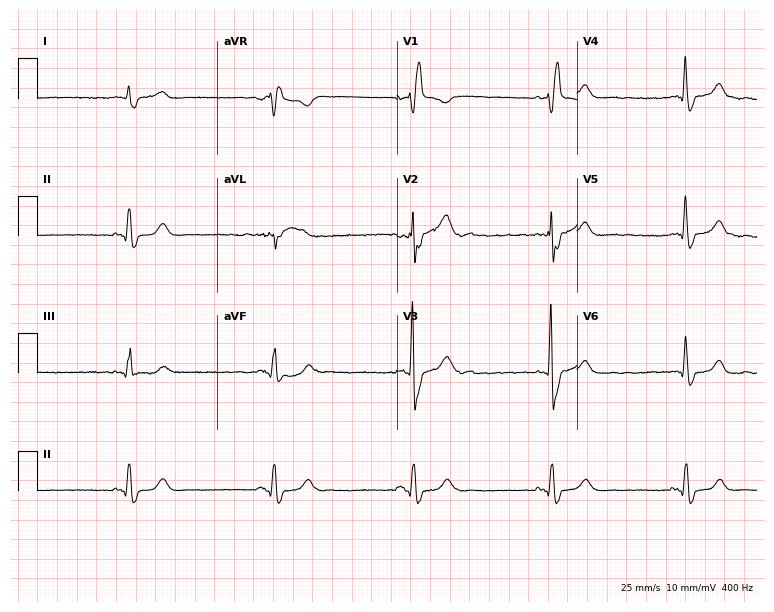
12-lead ECG from a male patient, 59 years old (7.3-second recording at 400 Hz). Shows right bundle branch block, sinus bradycardia (a sinus rate of 50 beats per minute or less).